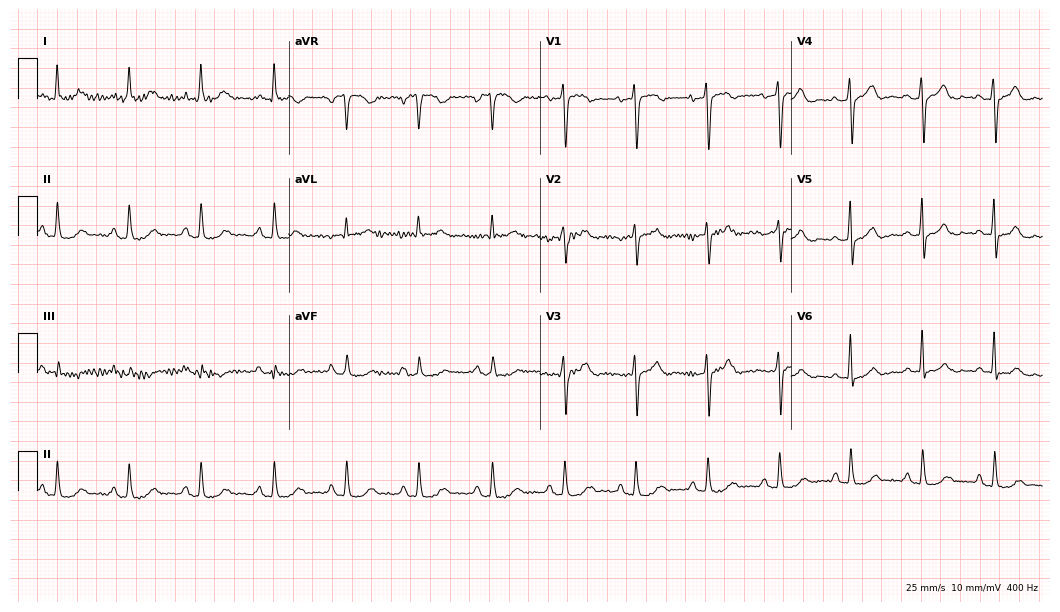
12-lead ECG from a 77-year-old female patient. Labelled as a normal ECG.